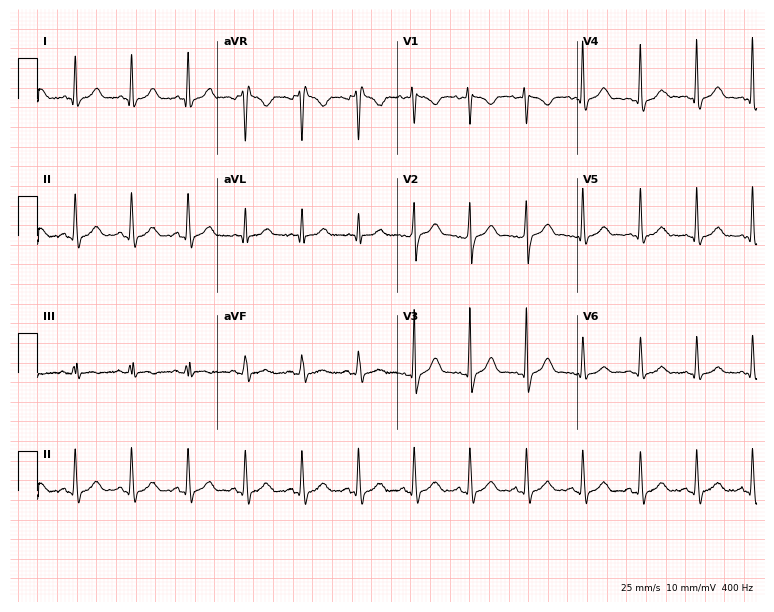
12-lead ECG from a 25-year-old female (7.3-second recording at 400 Hz). Shows sinus tachycardia (a sinus rate of 100 beats per minute or more).